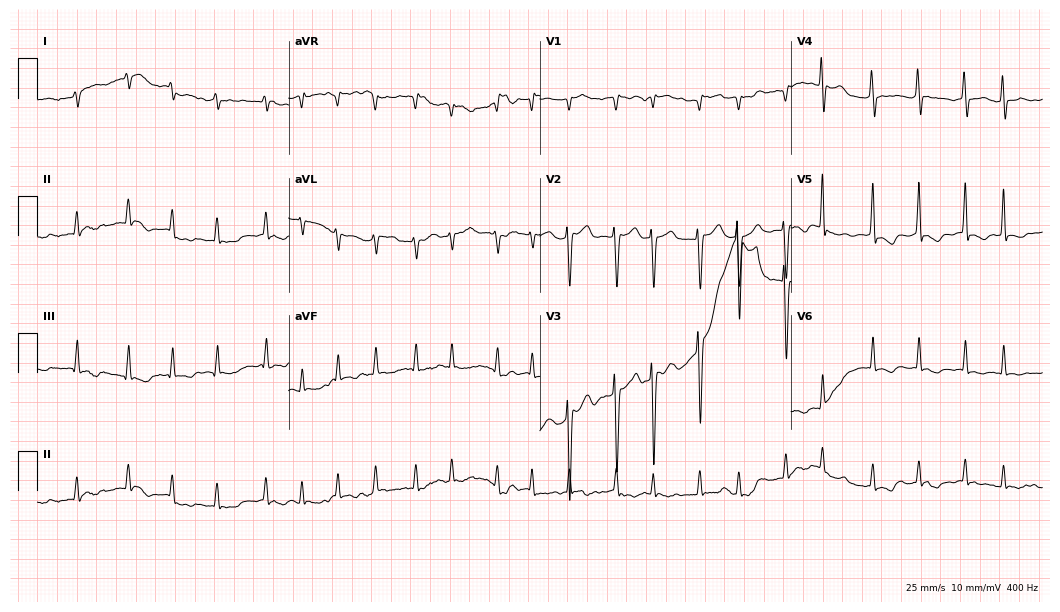
12-lead ECG from a man, 49 years old. Shows atrial fibrillation.